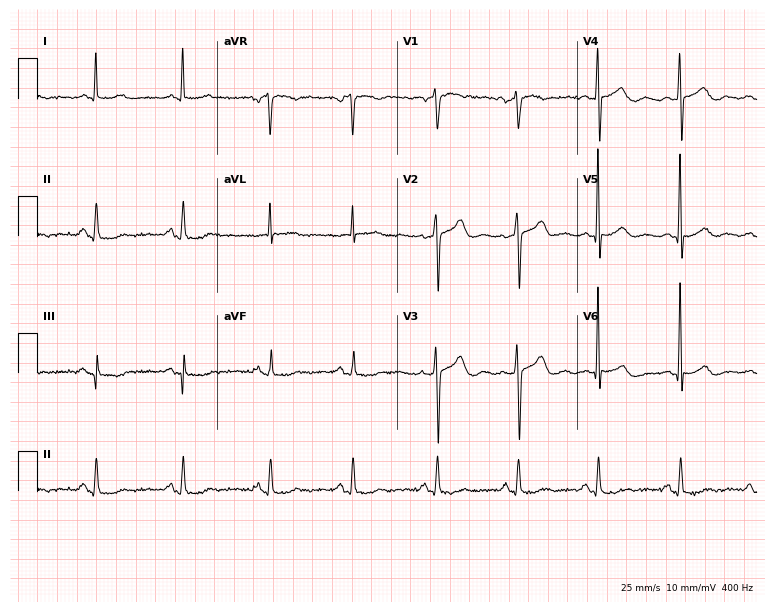
Electrocardiogram, a 57-year-old male patient. Of the six screened findings (first-degree AV block, right bundle branch block (RBBB), left bundle branch block (LBBB), sinus bradycardia, atrial fibrillation (AF), sinus tachycardia), none is recorded. Other findings, if any, are not listed.